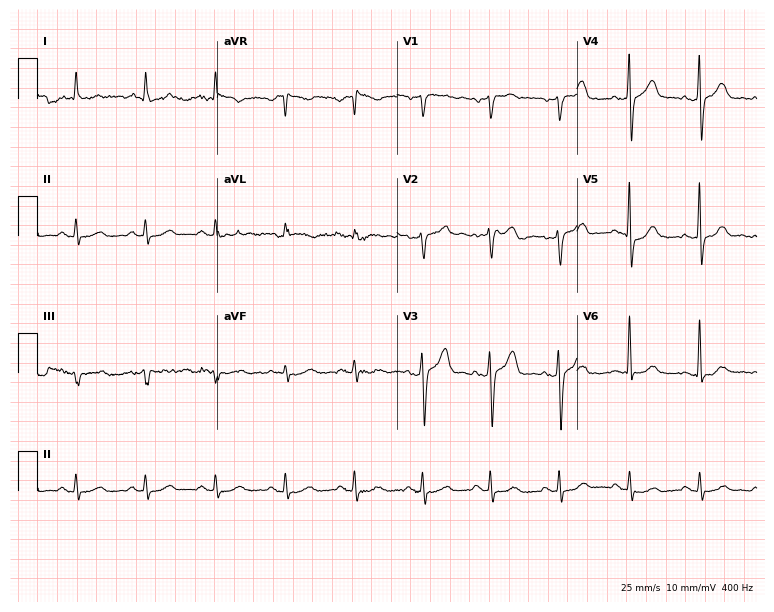
Standard 12-lead ECG recorded from a male, 64 years old (7.3-second recording at 400 Hz). None of these six findings is recorded: first-degree AV block, right bundle branch block, left bundle branch block, sinus bradycardia, atrial fibrillation, sinus tachycardia. Other findings, if any, are not listed.